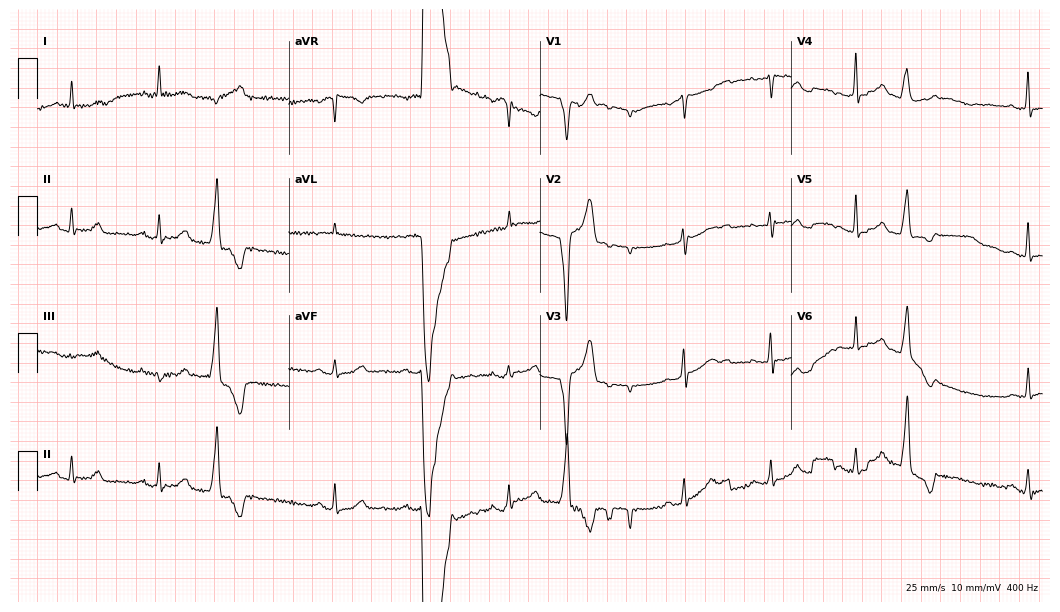
Electrocardiogram (10.2-second recording at 400 Hz), a woman, 71 years old. Of the six screened findings (first-degree AV block, right bundle branch block, left bundle branch block, sinus bradycardia, atrial fibrillation, sinus tachycardia), none is recorded. Findings outside these six are not listed.